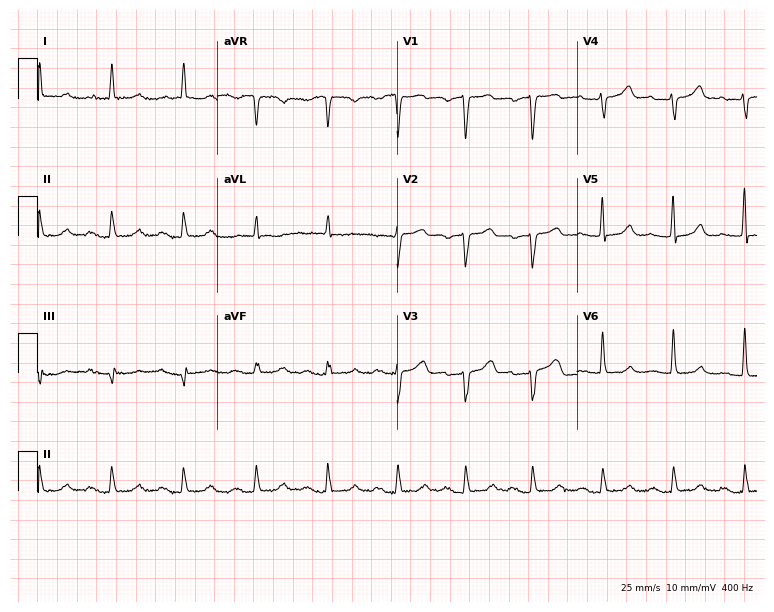
Electrocardiogram (7.3-second recording at 400 Hz), a 73-year-old female patient. Interpretation includes first-degree AV block.